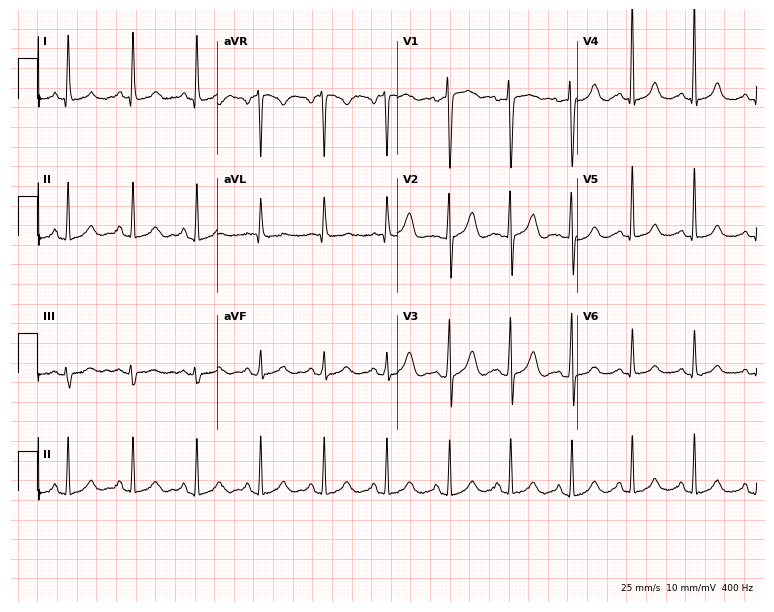
Resting 12-lead electrocardiogram. Patient: a 69-year-old female. Read as a normal ECG.